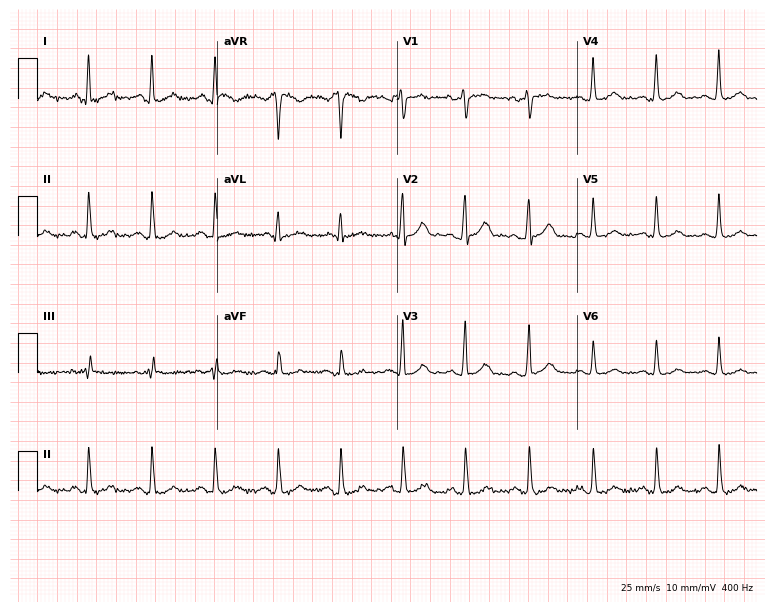
Electrocardiogram, a 35-year-old man. Overall reading on record: normal ECG.